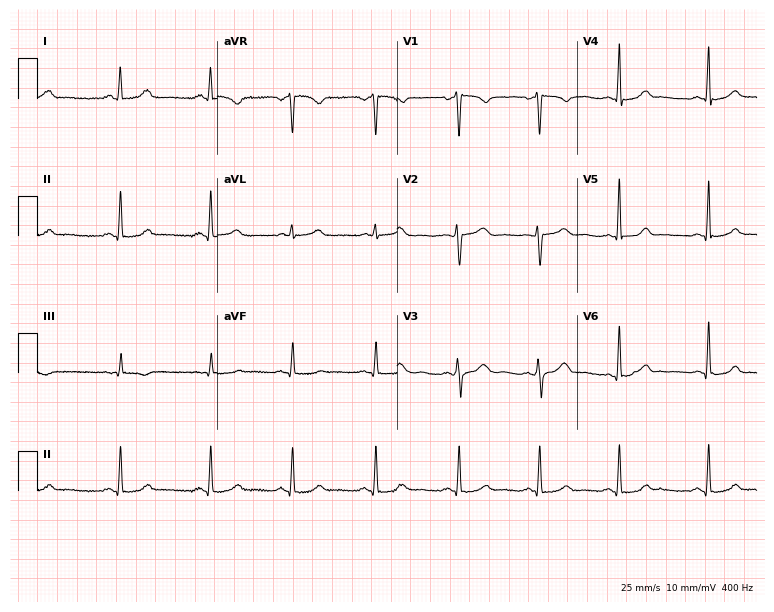
Standard 12-lead ECG recorded from a female patient, 29 years old. Read as a normal ECG.